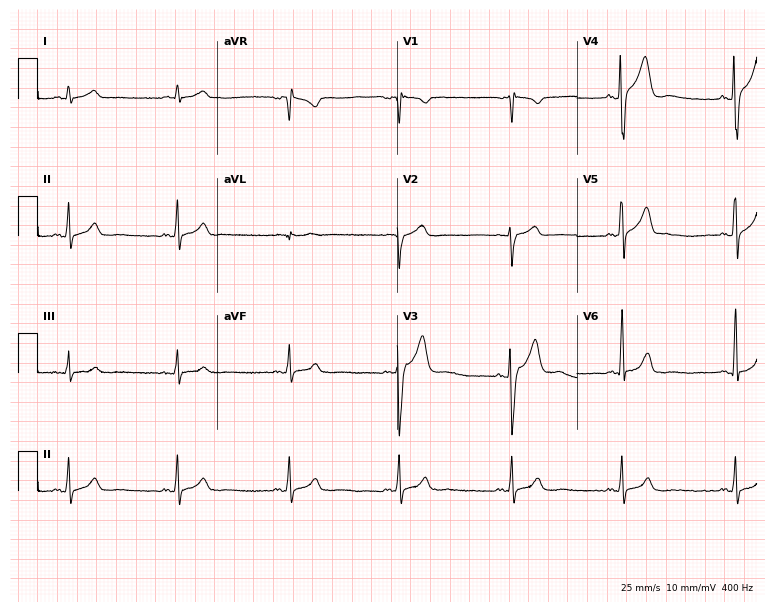
ECG — a male, 35 years old. Screened for six findings — first-degree AV block, right bundle branch block (RBBB), left bundle branch block (LBBB), sinus bradycardia, atrial fibrillation (AF), sinus tachycardia — none is recorded.